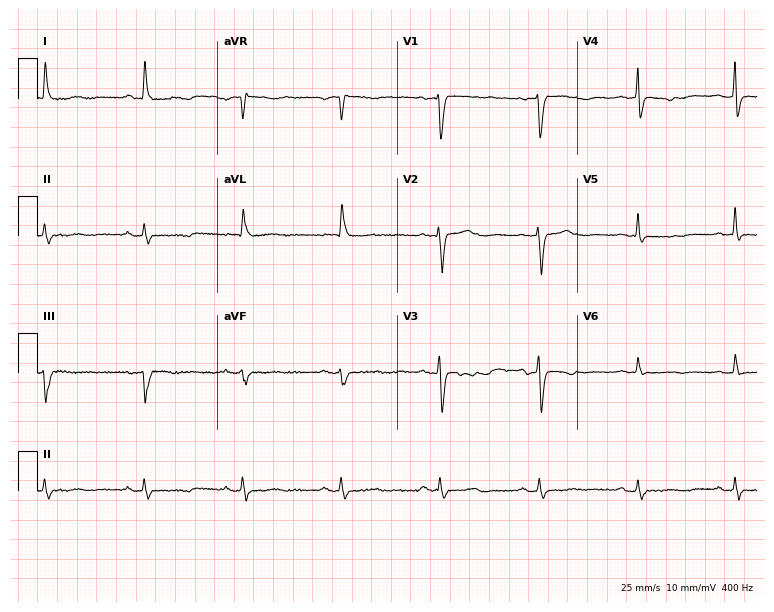
12-lead ECG from a female patient, 67 years old. No first-degree AV block, right bundle branch block, left bundle branch block, sinus bradycardia, atrial fibrillation or sinus tachycardia recorded for this tracing. Findings outside these six are not listed.